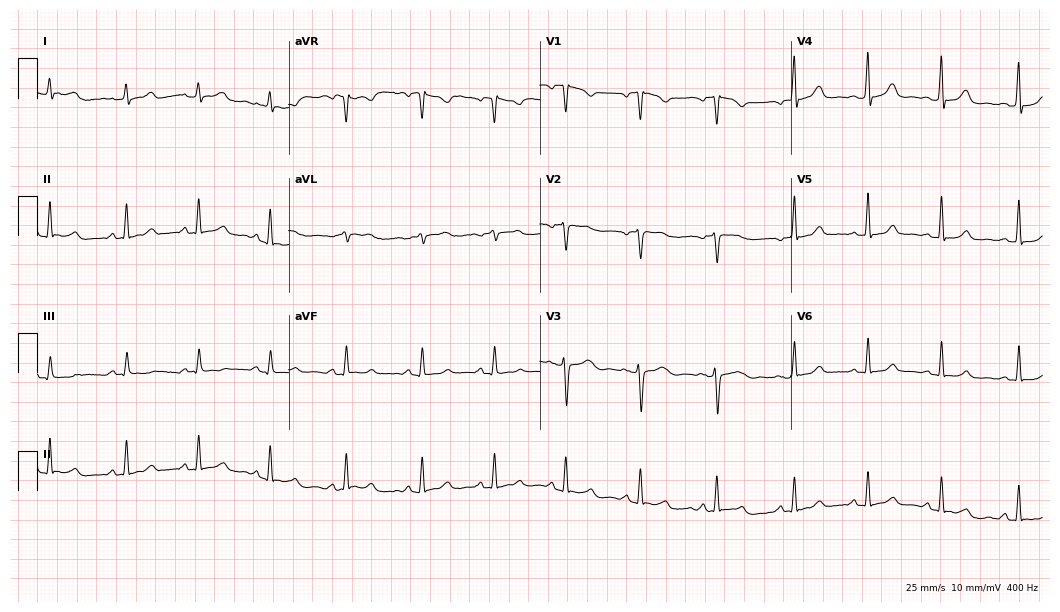
Standard 12-lead ECG recorded from a female patient, 34 years old. Read as a normal ECG.